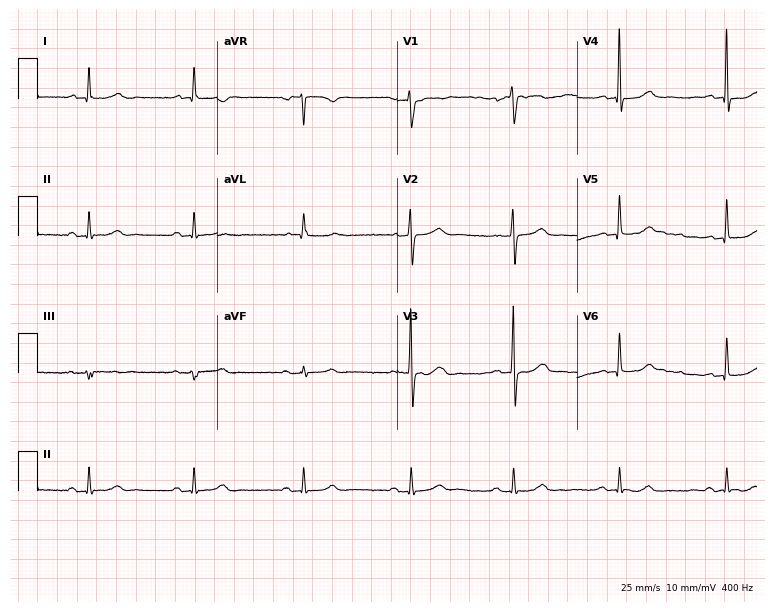
12-lead ECG (7.3-second recording at 400 Hz) from a 68-year-old female. Screened for six findings — first-degree AV block, right bundle branch block (RBBB), left bundle branch block (LBBB), sinus bradycardia, atrial fibrillation (AF), sinus tachycardia — none is recorded. Only these six findings were labelled.